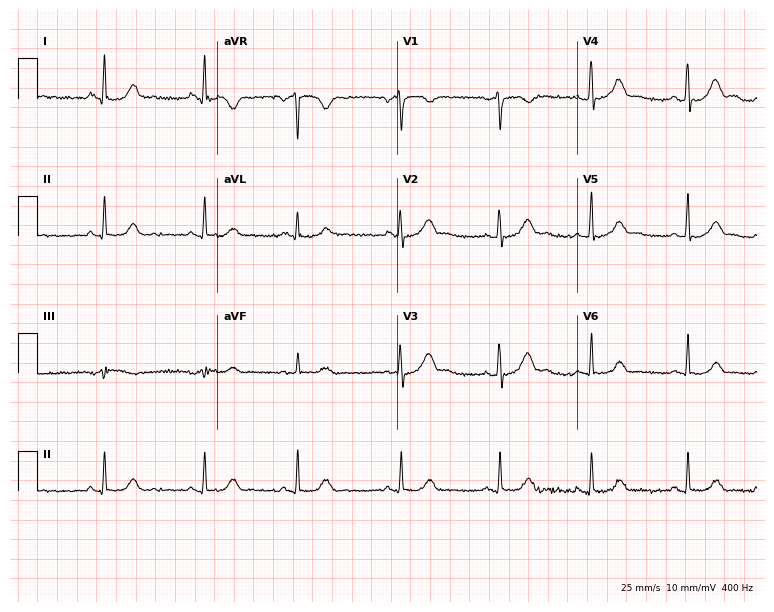
12-lead ECG from a female, 22 years old (7.3-second recording at 400 Hz). Recorded interpretation: within normal limits.